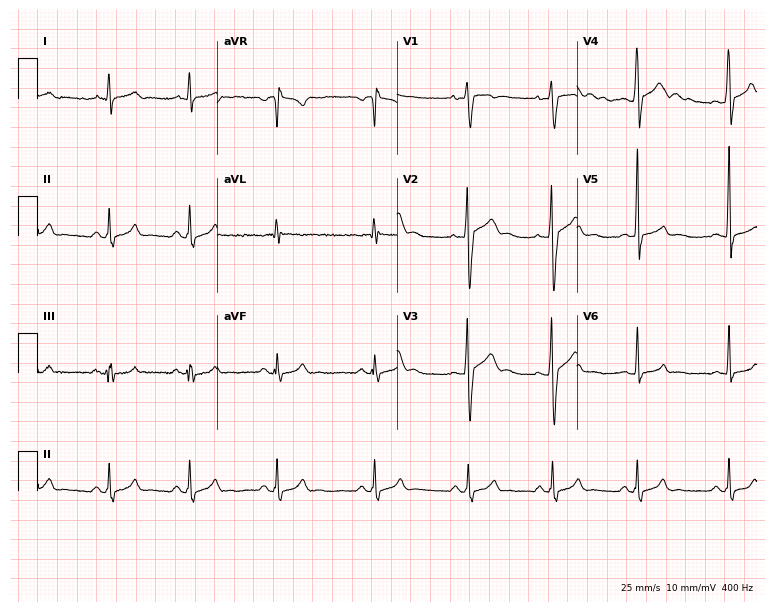
12-lead ECG from a woman, 20 years old. No first-degree AV block, right bundle branch block, left bundle branch block, sinus bradycardia, atrial fibrillation or sinus tachycardia recorded for this tracing.